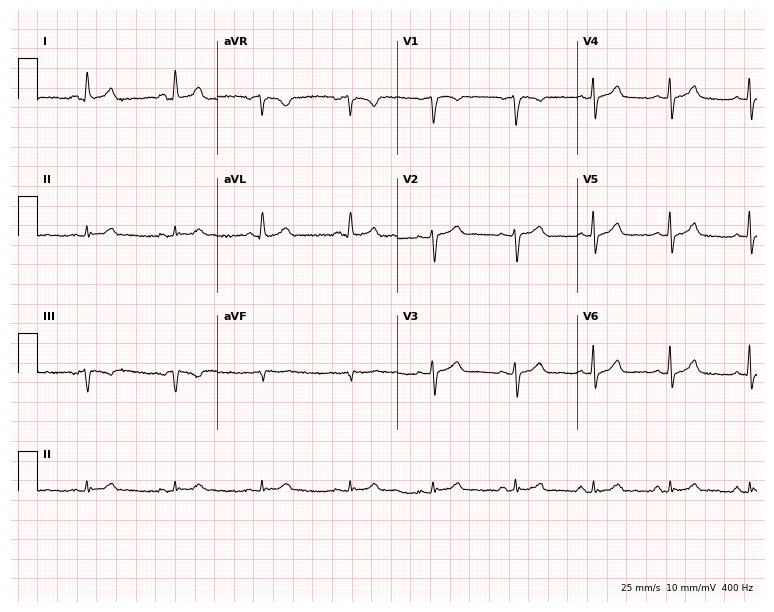
Standard 12-lead ECG recorded from a 54-year-old female. Read as a normal ECG.